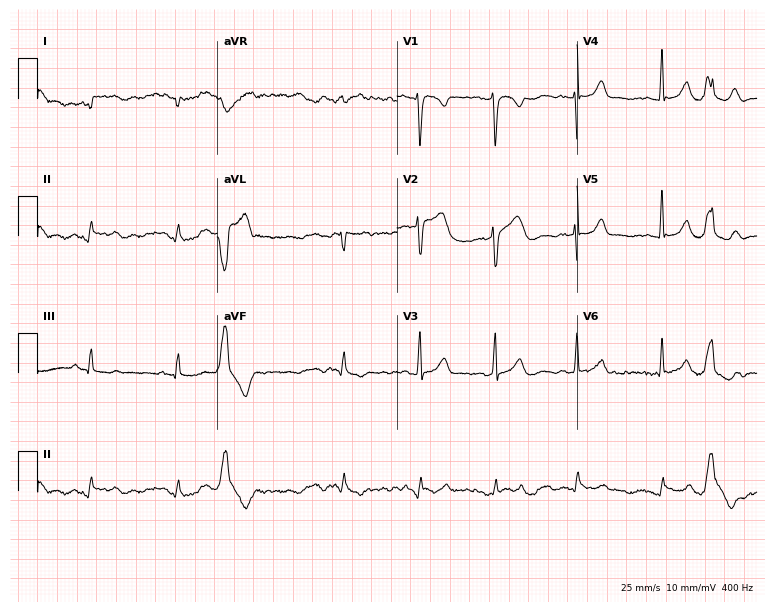
Standard 12-lead ECG recorded from a 40-year-old female patient (7.3-second recording at 400 Hz). Read as a normal ECG.